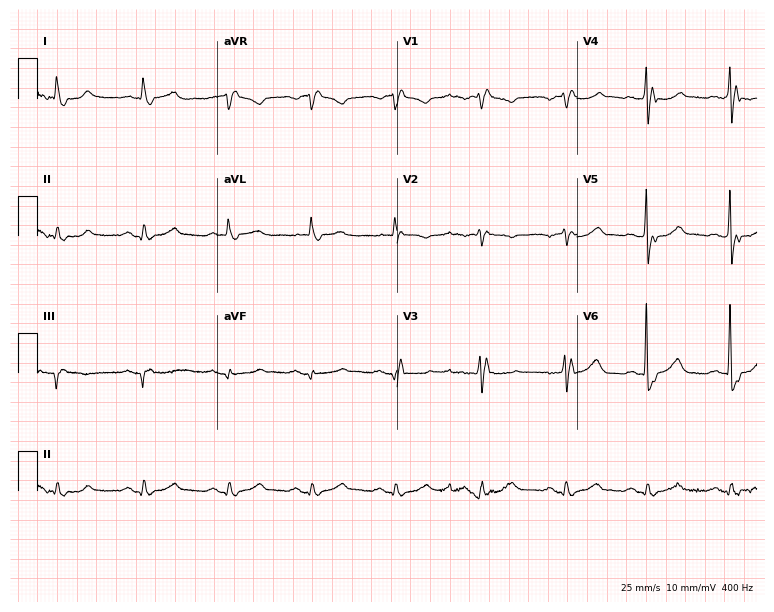
12-lead ECG from a man, 82 years old. Findings include right bundle branch block.